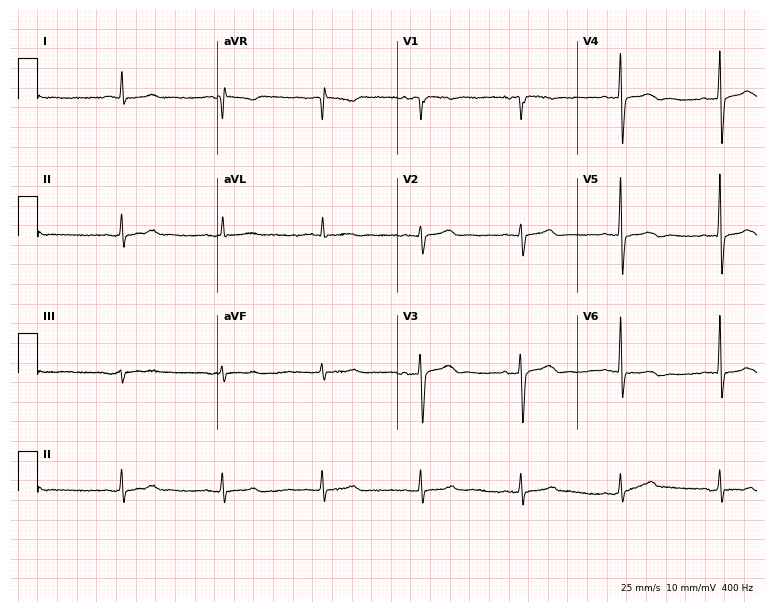
12-lead ECG from a 75-year-old male patient. Labelled as a normal ECG.